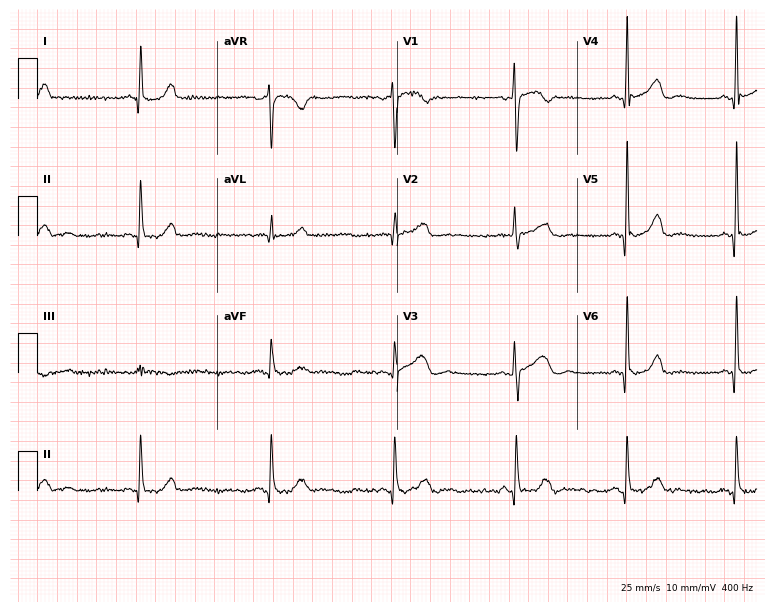
Electrocardiogram (7.3-second recording at 400 Hz), a woman, 48 years old. Interpretation includes sinus bradycardia (a sinus rate of 50 beats per minute or less).